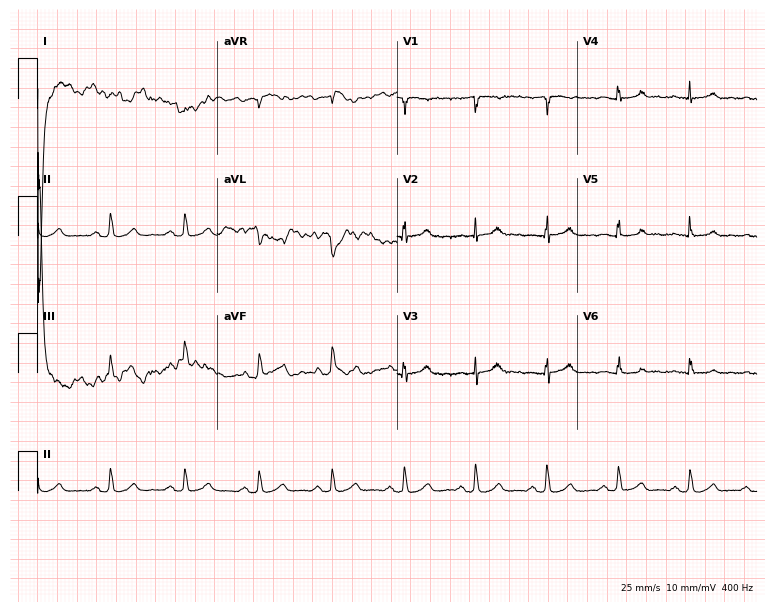
Electrocardiogram, a female patient, 61 years old. Of the six screened findings (first-degree AV block, right bundle branch block (RBBB), left bundle branch block (LBBB), sinus bradycardia, atrial fibrillation (AF), sinus tachycardia), none is recorded.